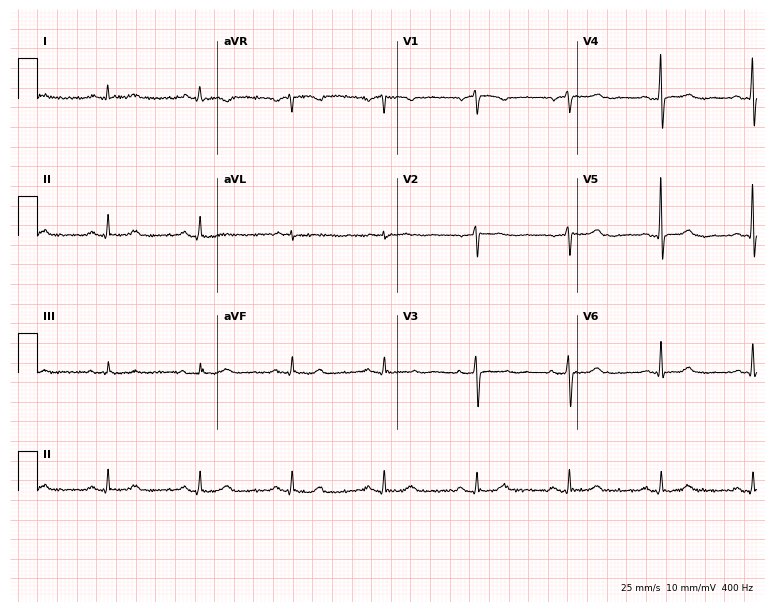
ECG — a female patient, 77 years old. Labelled as a normal ECG.